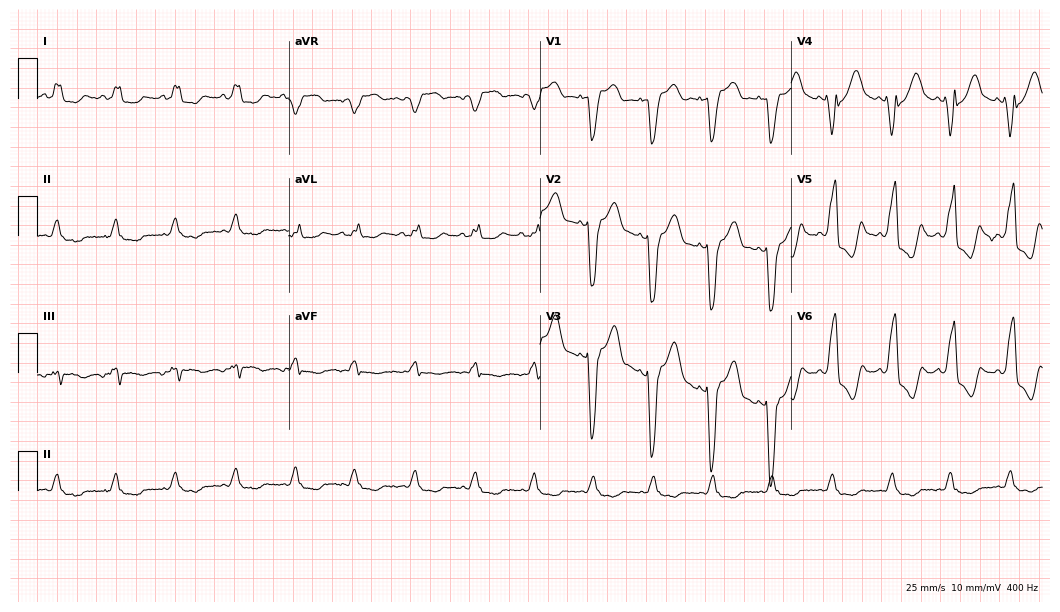
ECG (10.2-second recording at 400 Hz) — a female, 84 years old. Findings include left bundle branch block (LBBB).